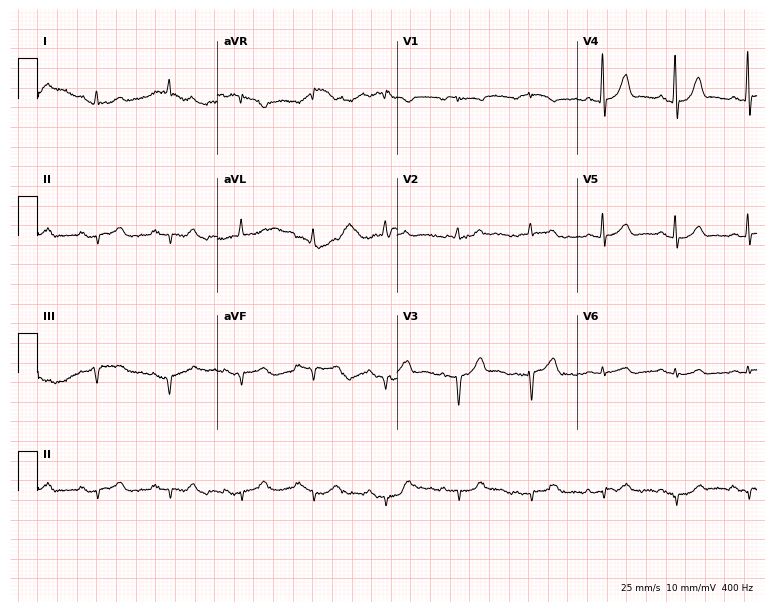
ECG — a male, 71 years old. Screened for six findings — first-degree AV block, right bundle branch block, left bundle branch block, sinus bradycardia, atrial fibrillation, sinus tachycardia — none is recorded.